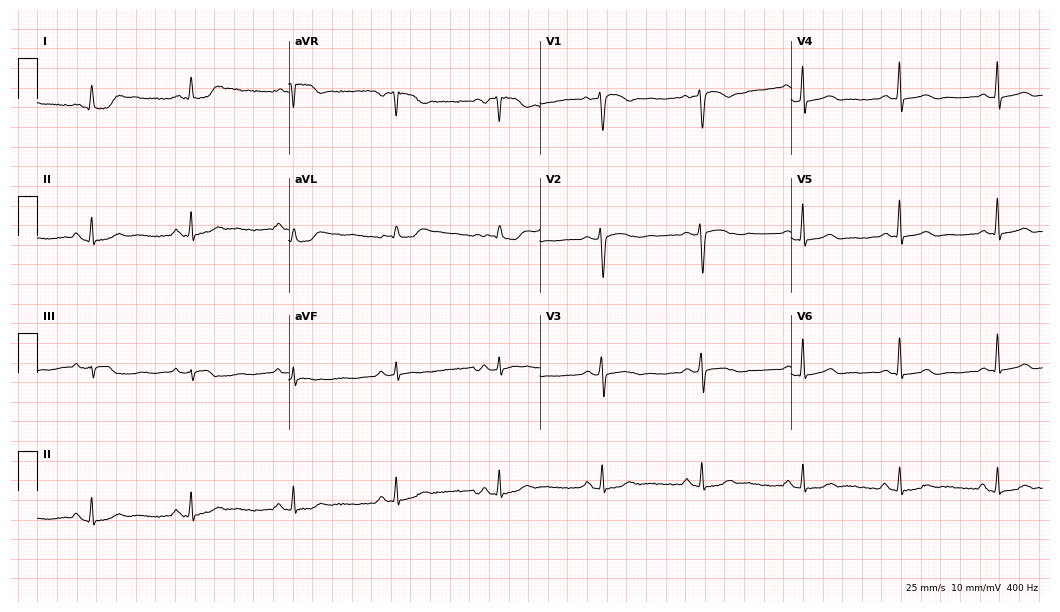
ECG — a female, 38 years old. Screened for six findings — first-degree AV block, right bundle branch block, left bundle branch block, sinus bradycardia, atrial fibrillation, sinus tachycardia — none is recorded. Findings outside these six are not listed.